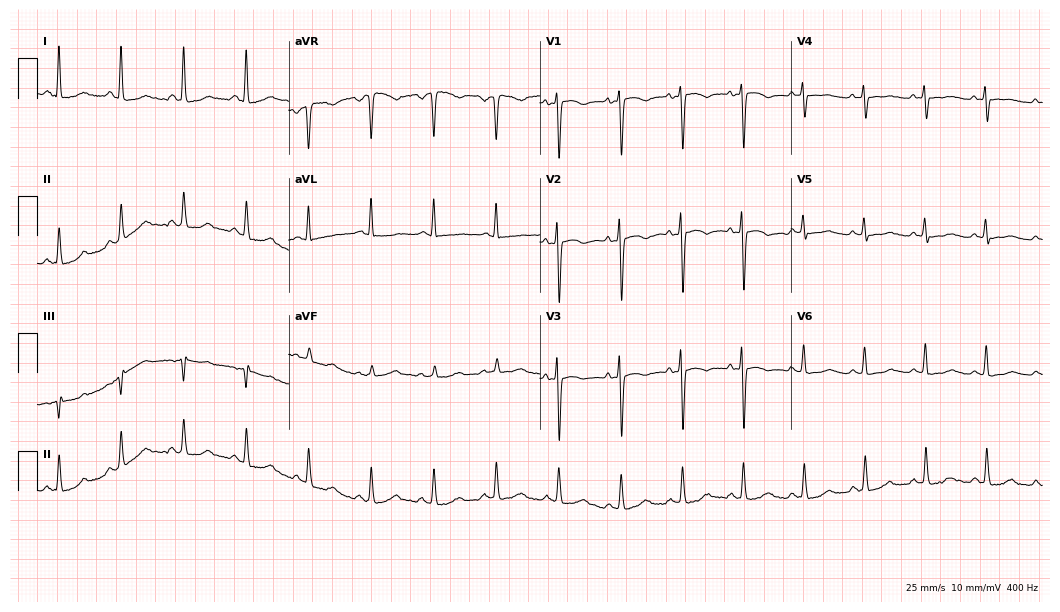
Standard 12-lead ECG recorded from a 41-year-old female patient. None of these six findings is recorded: first-degree AV block, right bundle branch block (RBBB), left bundle branch block (LBBB), sinus bradycardia, atrial fibrillation (AF), sinus tachycardia. Other findings, if any, are not listed.